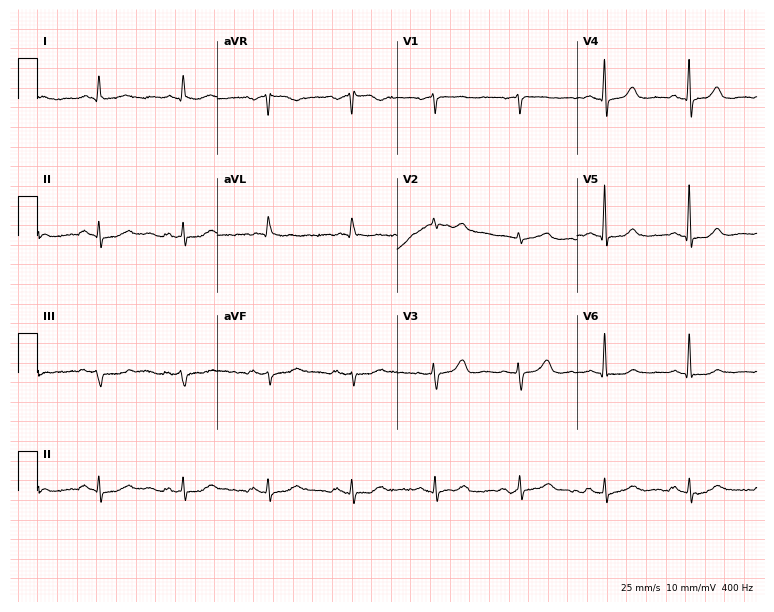
ECG — a female, 80 years old. Labelled as a normal ECG.